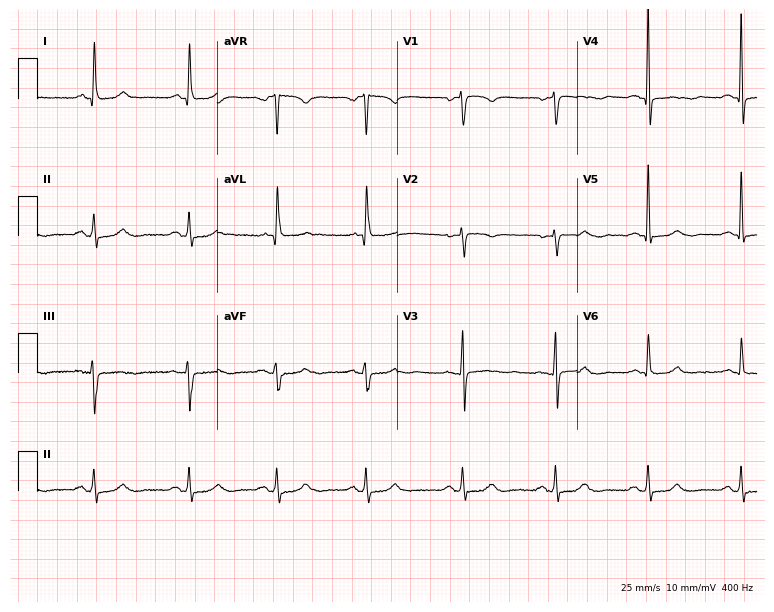
ECG (7.3-second recording at 400 Hz) — a 60-year-old female. Screened for six findings — first-degree AV block, right bundle branch block, left bundle branch block, sinus bradycardia, atrial fibrillation, sinus tachycardia — none is recorded.